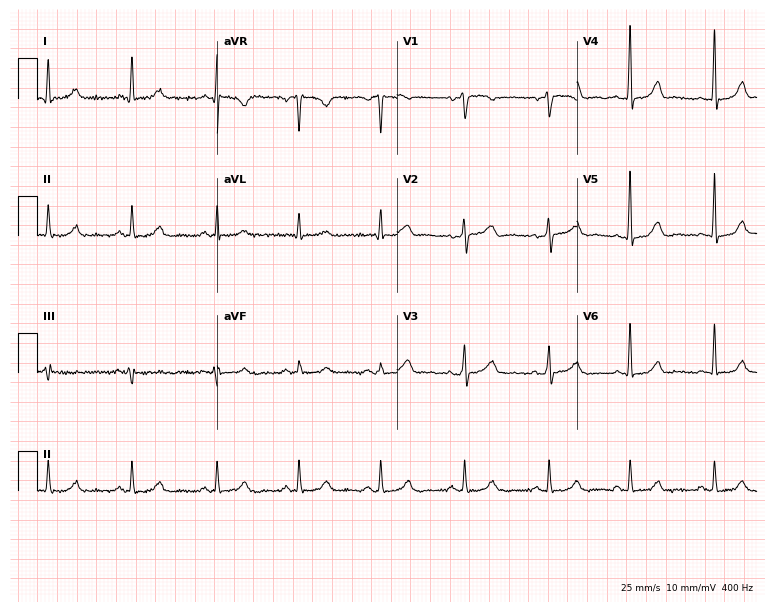
Standard 12-lead ECG recorded from a 53-year-old female (7.3-second recording at 400 Hz). Read as a normal ECG.